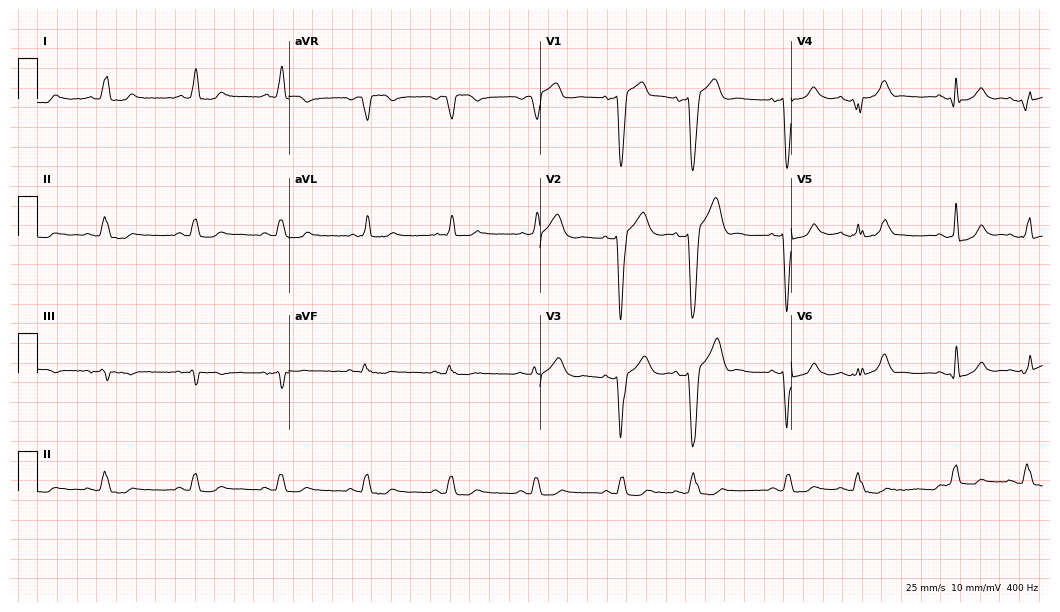
12-lead ECG from an 83-year-old male (10.2-second recording at 400 Hz). Shows left bundle branch block (LBBB).